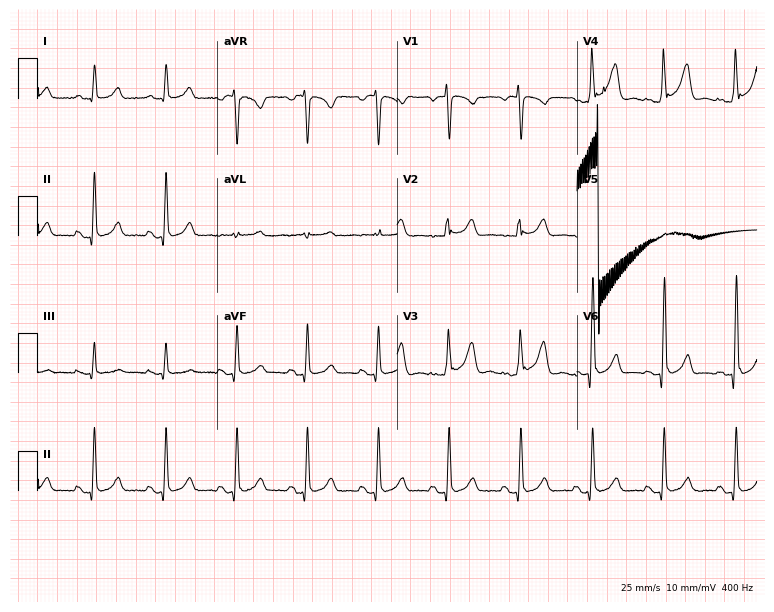
12-lead ECG (7.3-second recording at 400 Hz) from a 45-year-old male patient. Labelled as a normal ECG.